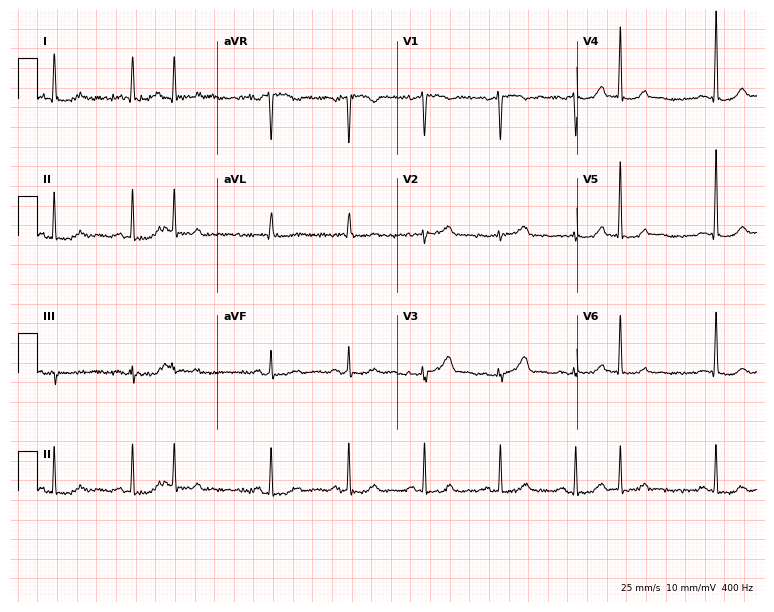
ECG — an 84-year-old woman. Screened for six findings — first-degree AV block, right bundle branch block (RBBB), left bundle branch block (LBBB), sinus bradycardia, atrial fibrillation (AF), sinus tachycardia — none is recorded.